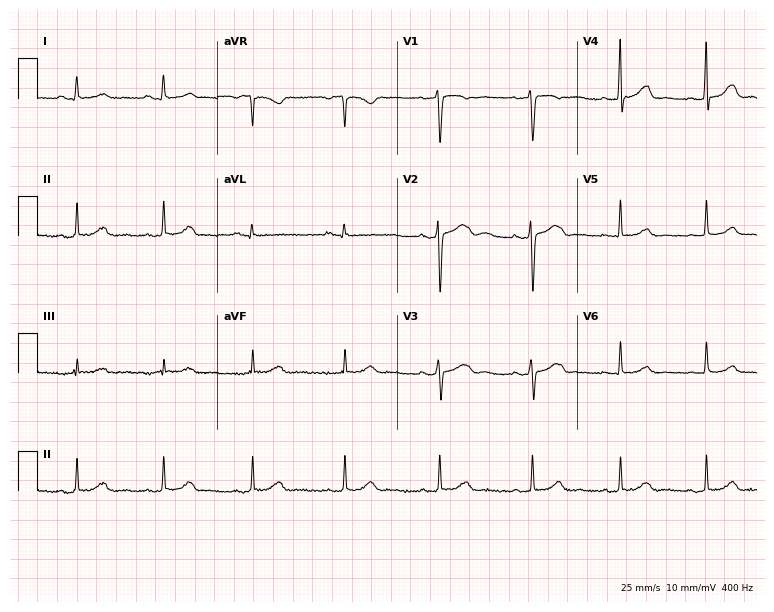
12-lead ECG (7.3-second recording at 400 Hz) from a female patient, 36 years old. Screened for six findings — first-degree AV block, right bundle branch block (RBBB), left bundle branch block (LBBB), sinus bradycardia, atrial fibrillation (AF), sinus tachycardia — none is recorded. Other findings, if any, are not listed.